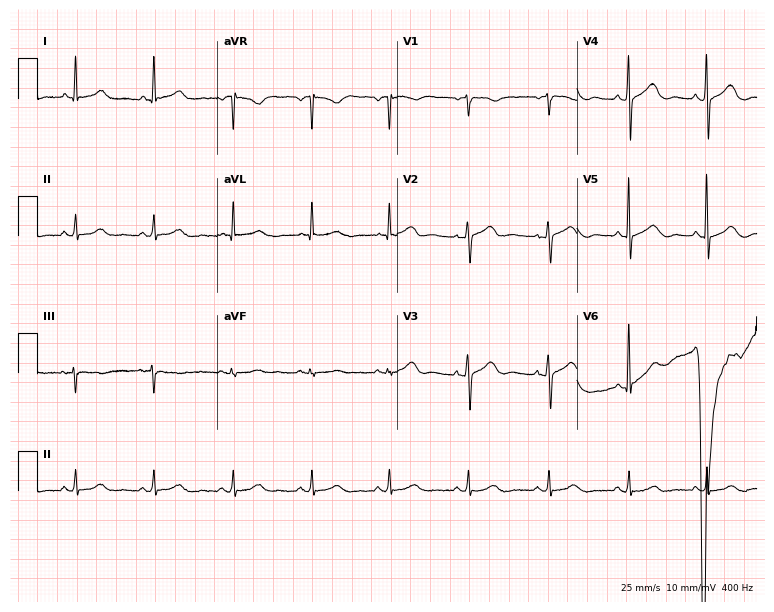
12-lead ECG from a 70-year-old female patient. No first-degree AV block, right bundle branch block (RBBB), left bundle branch block (LBBB), sinus bradycardia, atrial fibrillation (AF) or sinus tachycardia recorded for this tracing. Findings outside these six are not listed.